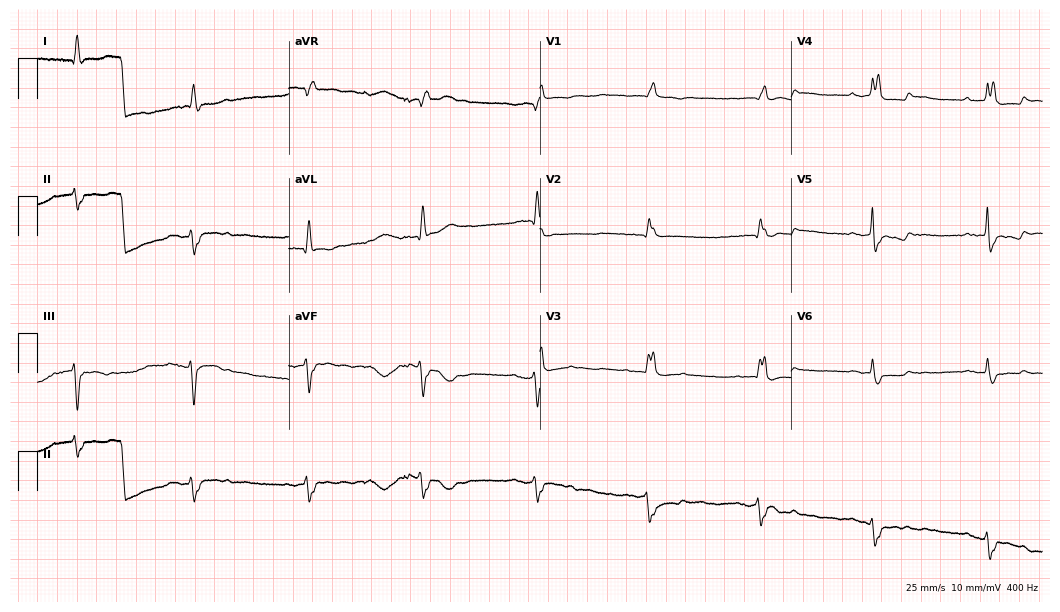
Standard 12-lead ECG recorded from an 83-year-old male patient (10.2-second recording at 400 Hz). None of these six findings is recorded: first-degree AV block, right bundle branch block, left bundle branch block, sinus bradycardia, atrial fibrillation, sinus tachycardia. Findings outside these six are not listed.